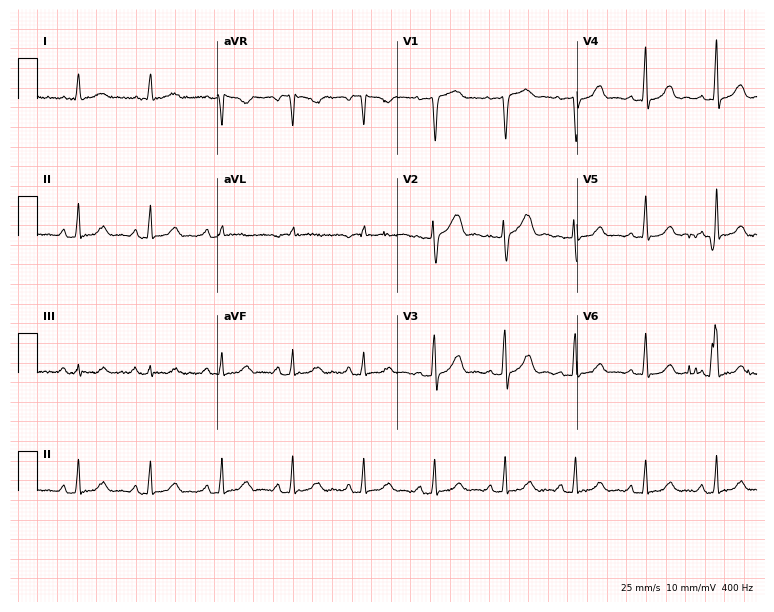
12-lead ECG from a female patient, 62 years old. No first-degree AV block, right bundle branch block, left bundle branch block, sinus bradycardia, atrial fibrillation or sinus tachycardia recorded for this tracing. Only these six findings were labelled.